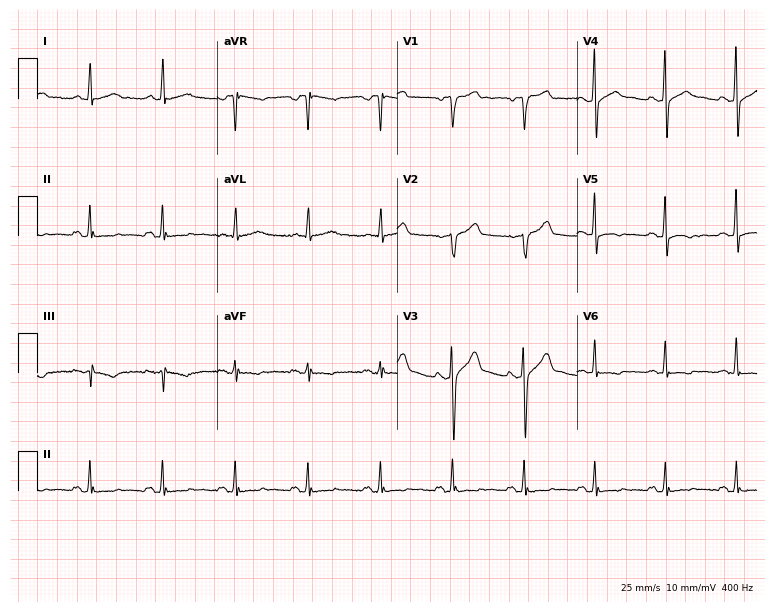
Standard 12-lead ECG recorded from a male, 57 years old. Read as a normal ECG.